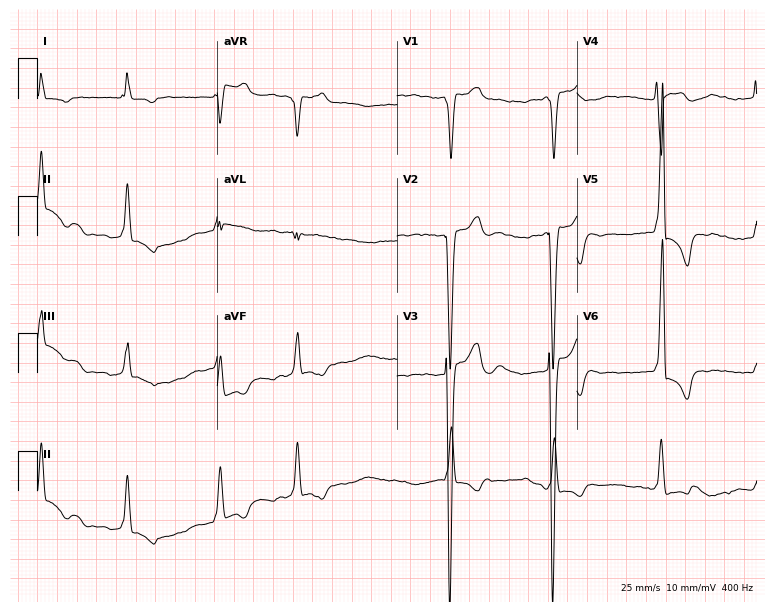
12-lead ECG (7.3-second recording at 400 Hz) from a 52-year-old woman. Findings include atrial fibrillation.